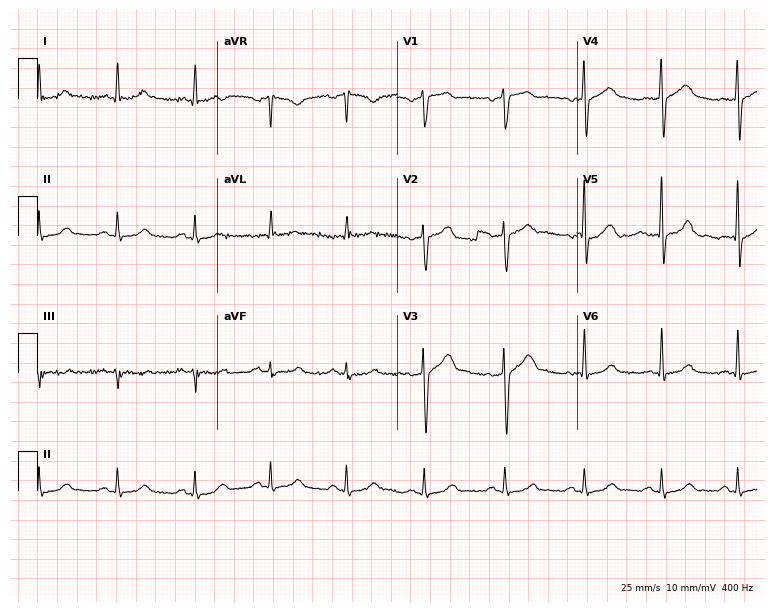
12-lead ECG from a 38-year-old male patient. Labelled as a normal ECG.